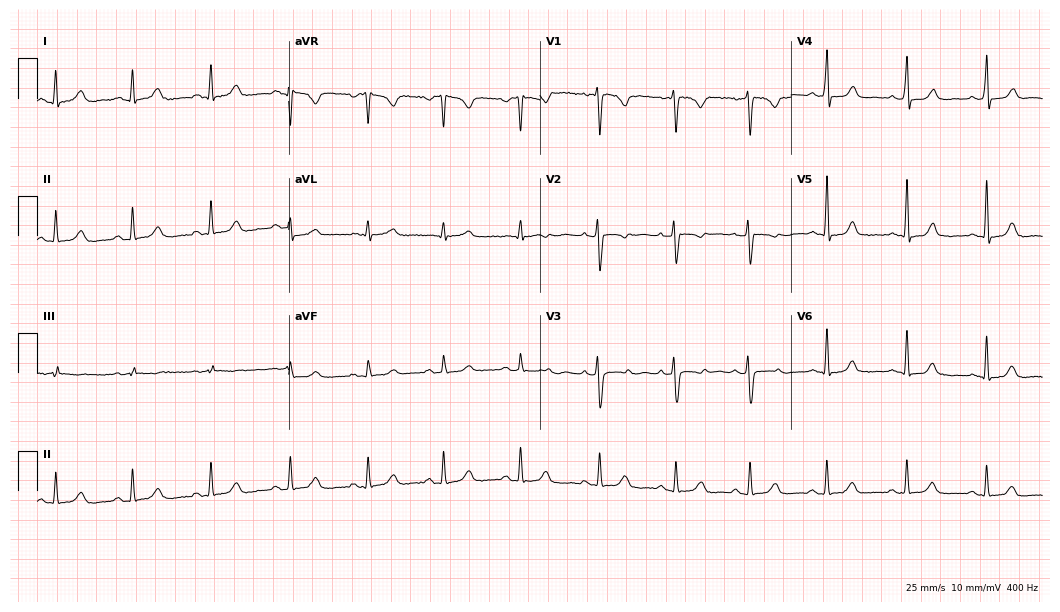
Resting 12-lead electrocardiogram. Patient: a female, 33 years old. Read as a normal ECG.